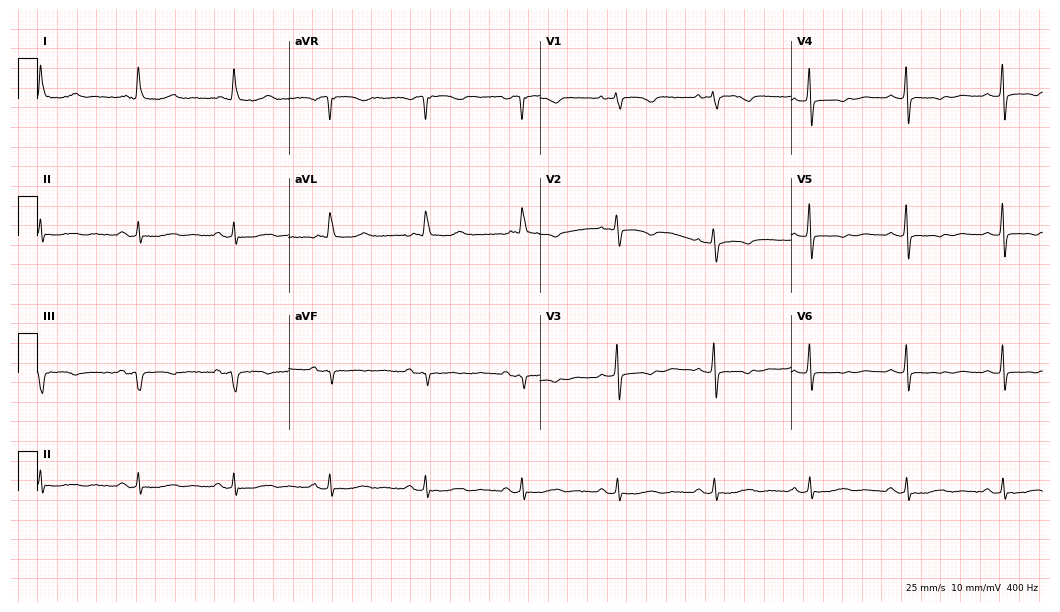
12-lead ECG from a female, 77 years old (10.2-second recording at 400 Hz). No first-degree AV block, right bundle branch block, left bundle branch block, sinus bradycardia, atrial fibrillation or sinus tachycardia recorded for this tracing. Only these six findings were labelled.